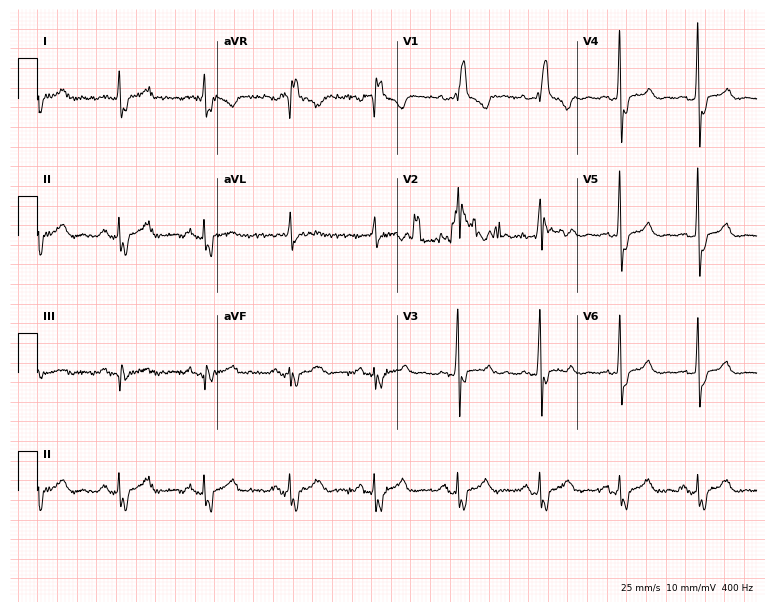
12-lead ECG from a male, 40 years old (7.3-second recording at 400 Hz). Shows right bundle branch block.